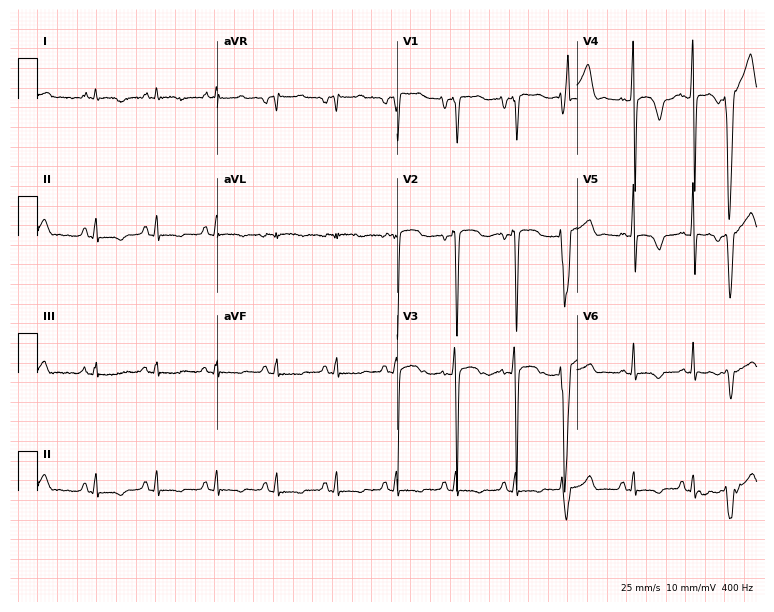
12-lead ECG from a male patient, 59 years old. Screened for six findings — first-degree AV block, right bundle branch block, left bundle branch block, sinus bradycardia, atrial fibrillation, sinus tachycardia — none is recorded. Only these six findings were labelled.